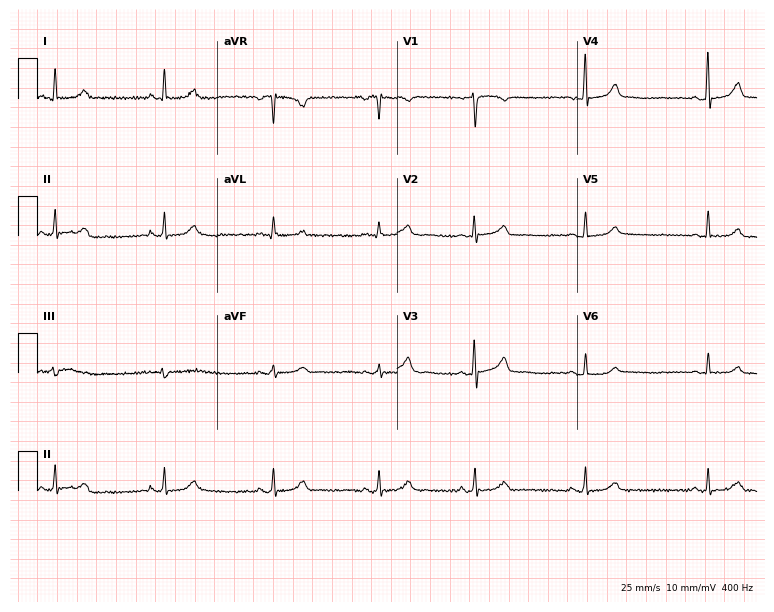
Standard 12-lead ECG recorded from a female patient, 39 years old (7.3-second recording at 400 Hz). None of these six findings is recorded: first-degree AV block, right bundle branch block (RBBB), left bundle branch block (LBBB), sinus bradycardia, atrial fibrillation (AF), sinus tachycardia.